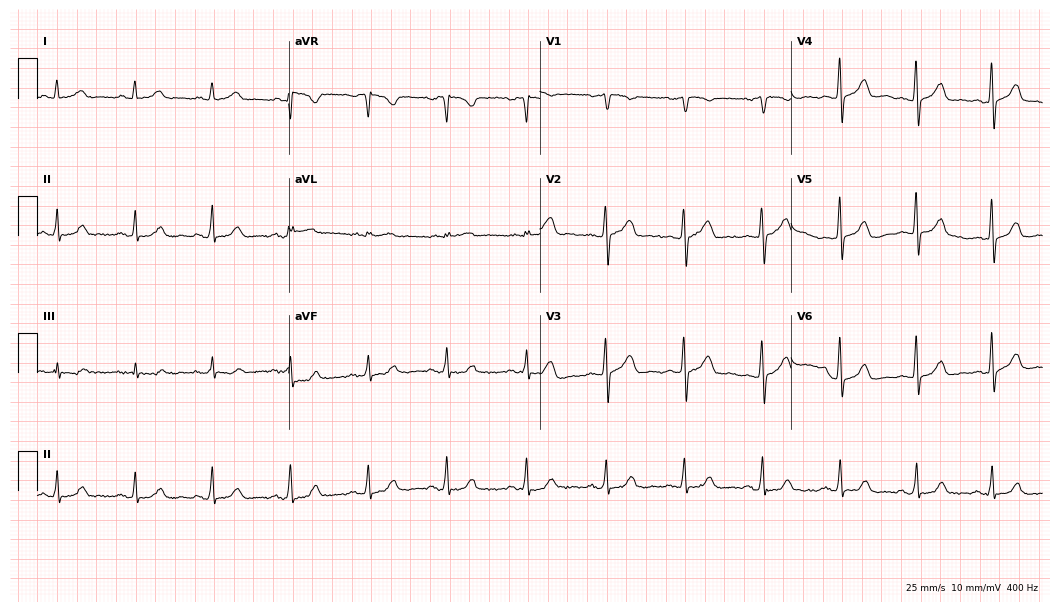
12-lead ECG (10.2-second recording at 400 Hz) from a 66-year-old woman. Labelled as a normal ECG.